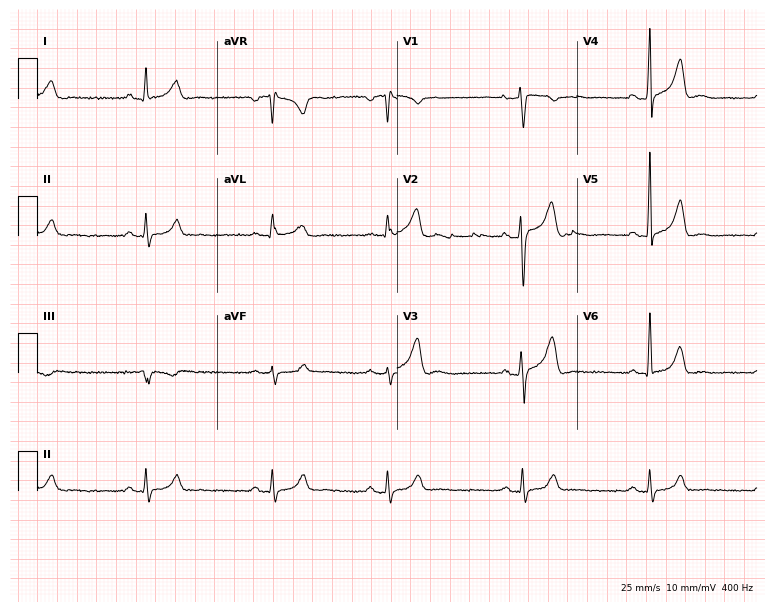
Electrocardiogram (7.3-second recording at 400 Hz), a 48-year-old man. Of the six screened findings (first-degree AV block, right bundle branch block, left bundle branch block, sinus bradycardia, atrial fibrillation, sinus tachycardia), none is recorded. Only these six findings were labelled.